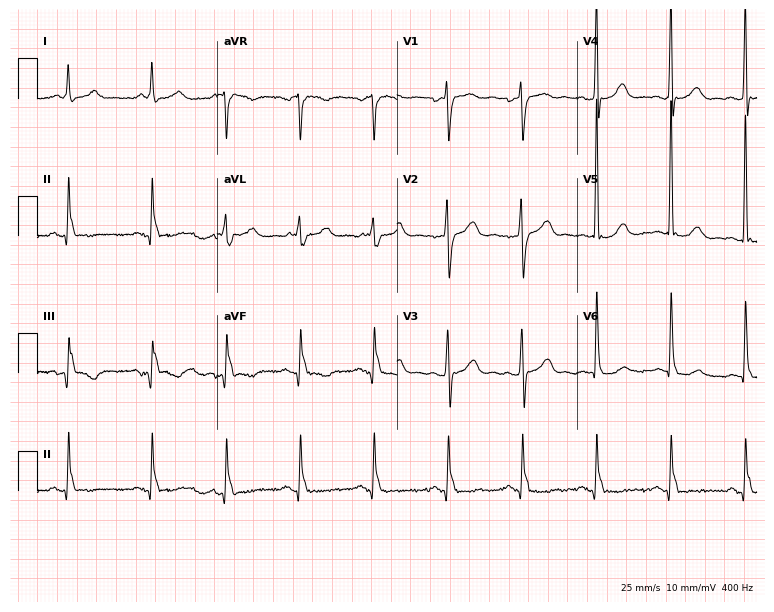
Resting 12-lead electrocardiogram. Patient: a 73-year-old female. None of these six findings is recorded: first-degree AV block, right bundle branch block, left bundle branch block, sinus bradycardia, atrial fibrillation, sinus tachycardia.